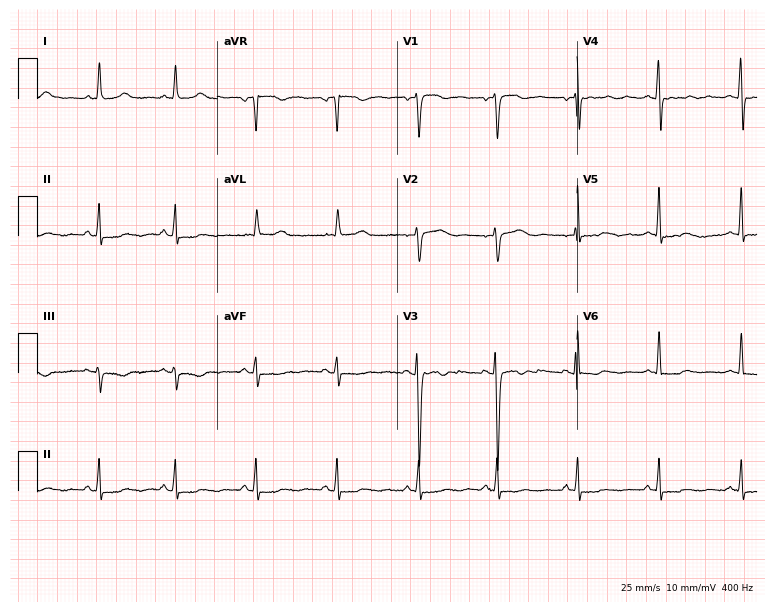
Electrocardiogram (7.3-second recording at 400 Hz), a female, 42 years old. Overall reading on record: normal ECG.